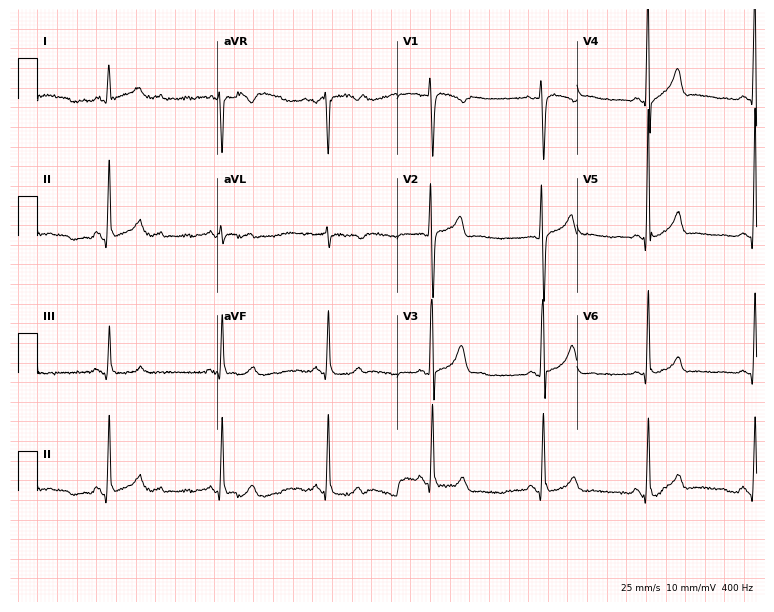
ECG — a woman, 43 years old. Labelled as a normal ECG.